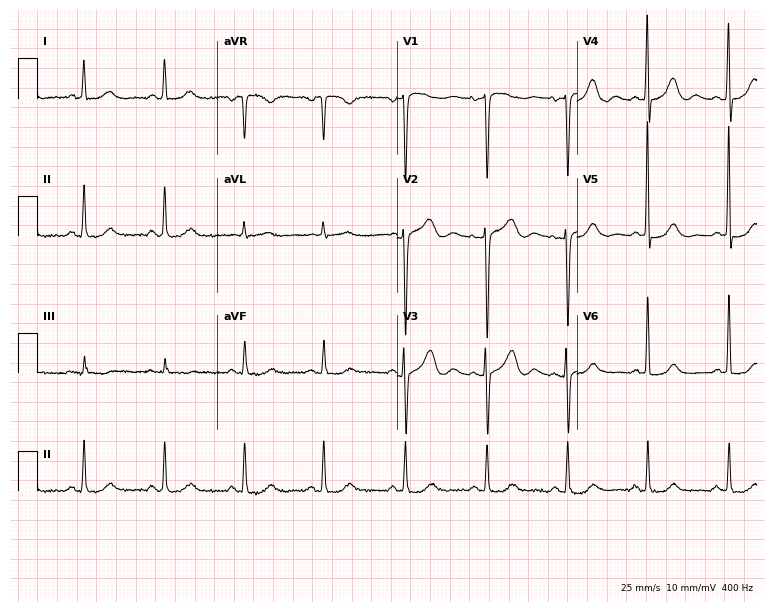
12-lead ECG from a female patient, 82 years old (7.3-second recording at 400 Hz). No first-degree AV block, right bundle branch block (RBBB), left bundle branch block (LBBB), sinus bradycardia, atrial fibrillation (AF) or sinus tachycardia recorded for this tracing. Only these six findings were labelled.